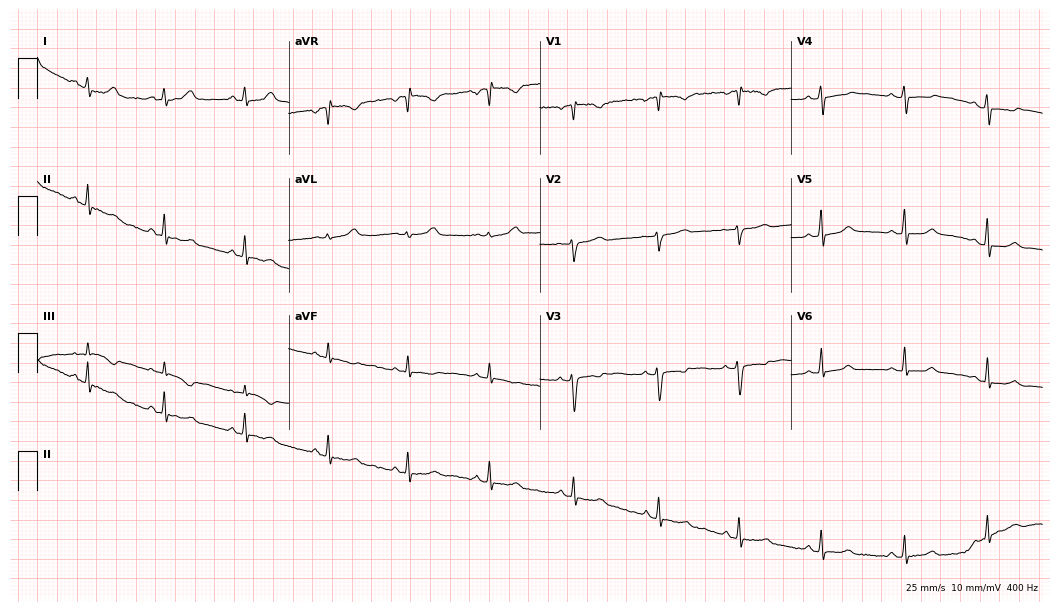
ECG — a 23-year-old female. Labelled as a normal ECG.